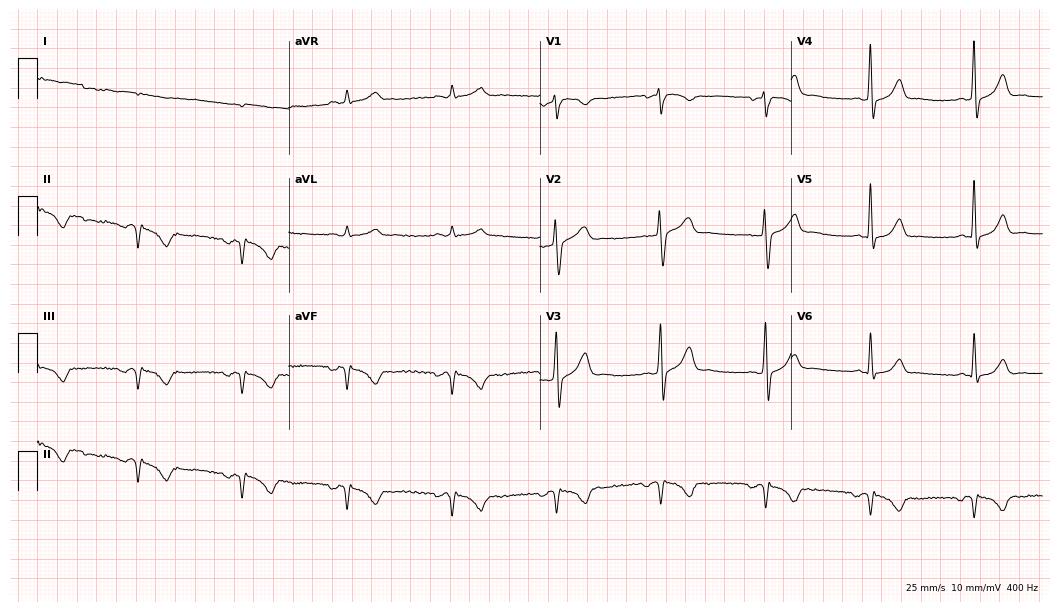
ECG (10.2-second recording at 400 Hz) — a male, 56 years old. Labelled as a normal ECG.